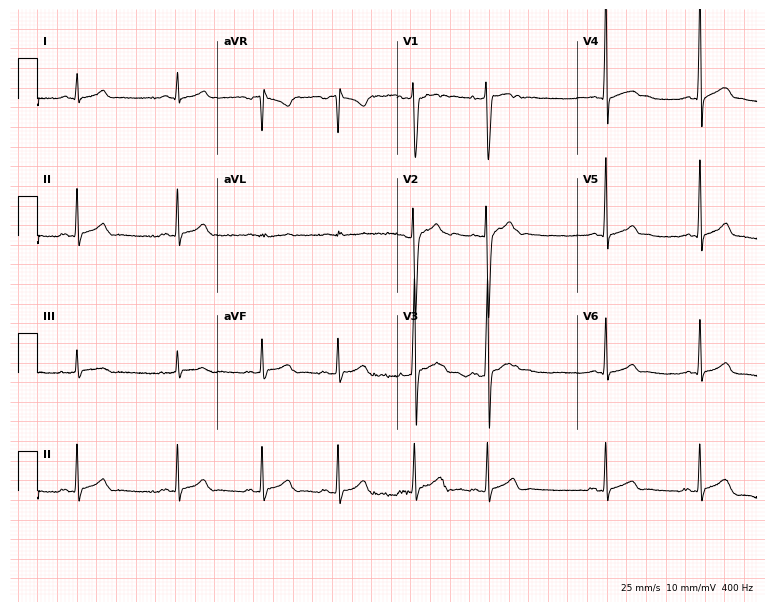
ECG — a 19-year-old male. Labelled as a normal ECG.